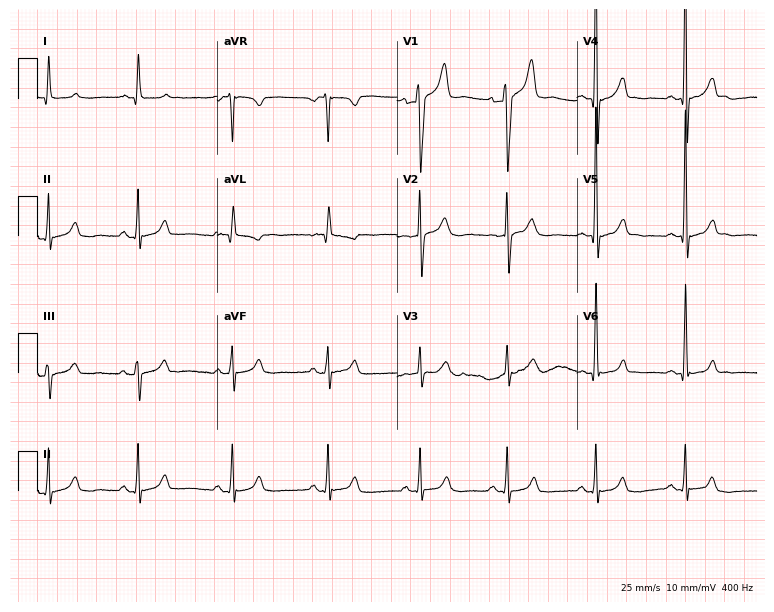
Standard 12-lead ECG recorded from a man, 27 years old (7.3-second recording at 400 Hz). Read as a normal ECG.